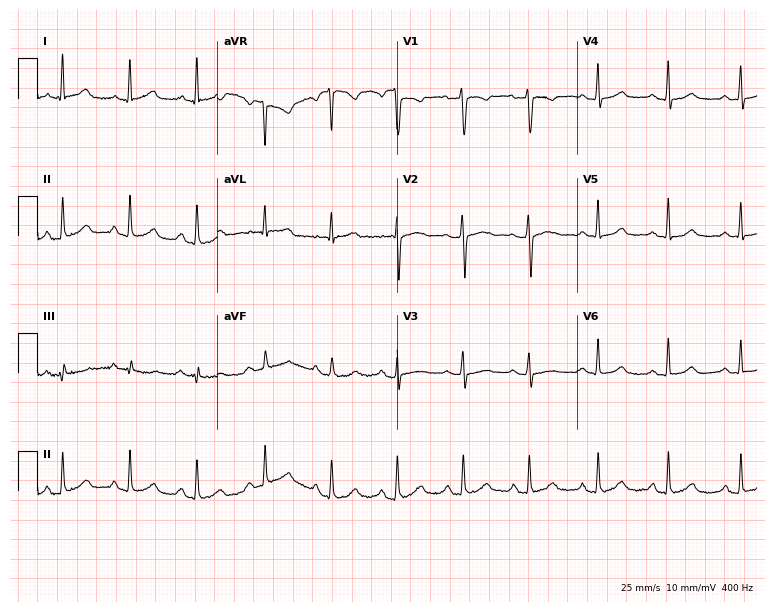
Electrocardiogram (7.3-second recording at 400 Hz), a female patient, 49 years old. Overall reading on record: normal ECG.